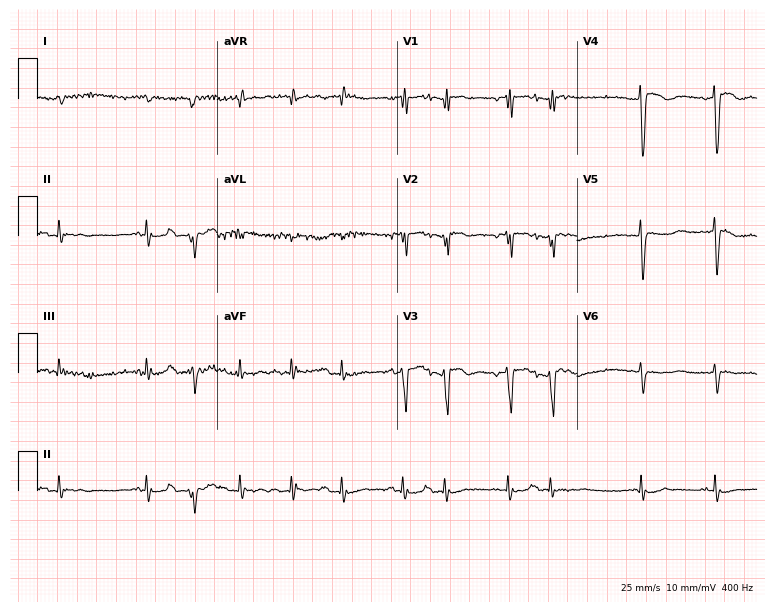
12-lead ECG from a male, 82 years old (7.3-second recording at 400 Hz). No first-degree AV block, right bundle branch block, left bundle branch block, sinus bradycardia, atrial fibrillation or sinus tachycardia recorded for this tracing. Other findings, if any, are not listed.